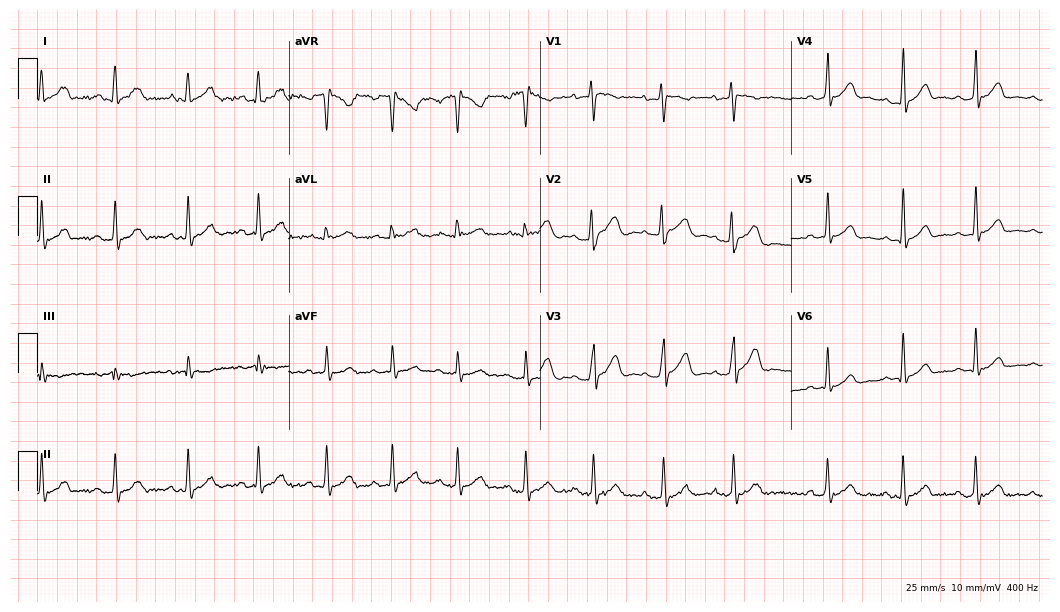
12-lead ECG from a 27-year-old female patient. Recorded interpretation: within normal limits.